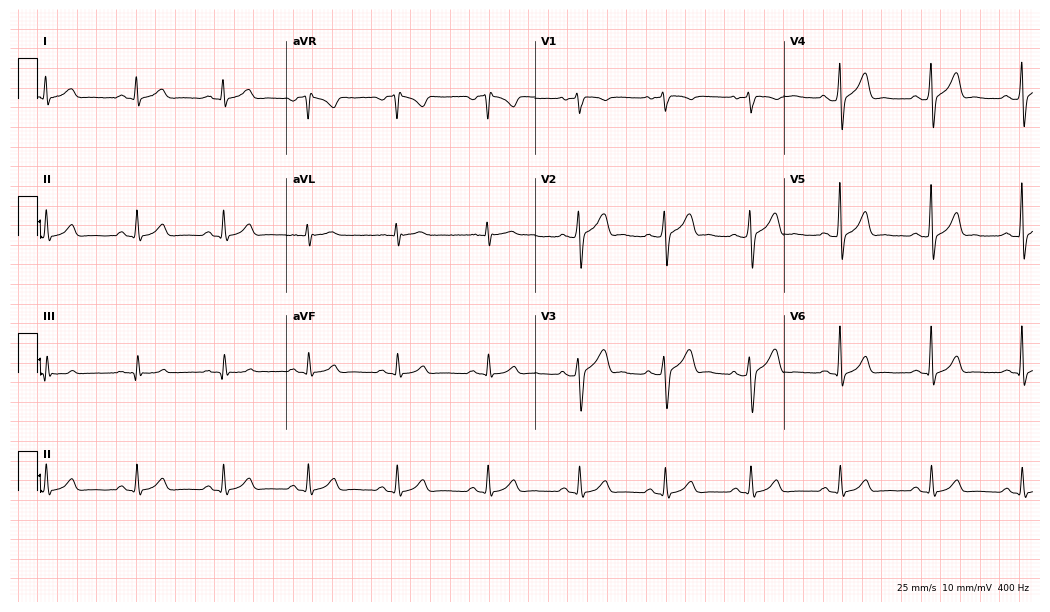
Electrocardiogram (10.1-second recording at 400 Hz), a male, 17 years old. Of the six screened findings (first-degree AV block, right bundle branch block (RBBB), left bundle branch block (LBBB), sinus bradycardia, atrial fibrillation (AF), sinus tachycardia), none is recorded.